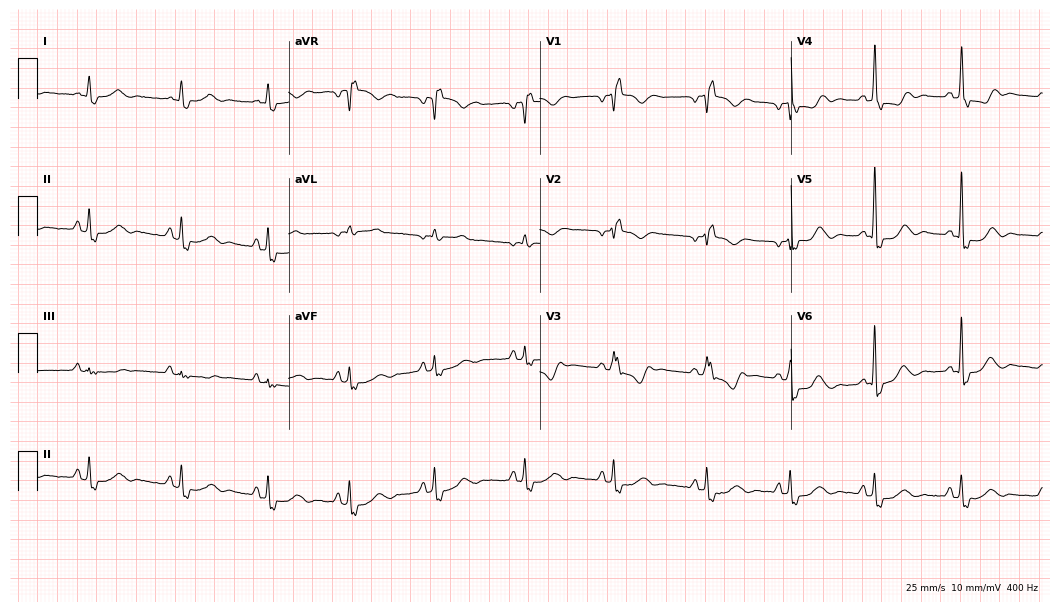
ECG (10.2-second recording at 400 Hz) — a female patient, 55 years old. Findings include right bundle branch block (RBBB).